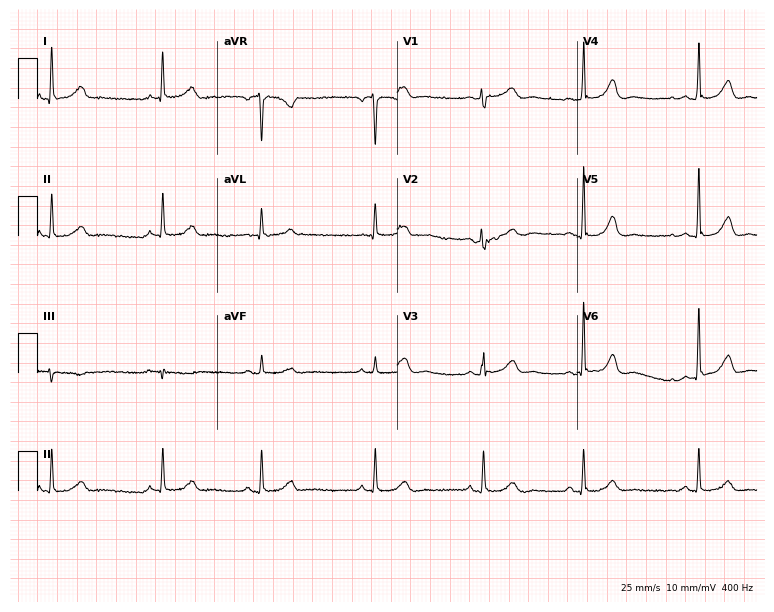
Standard 12-lead ECG recorded from a woman, 49 years old. Read as a normal ECG.